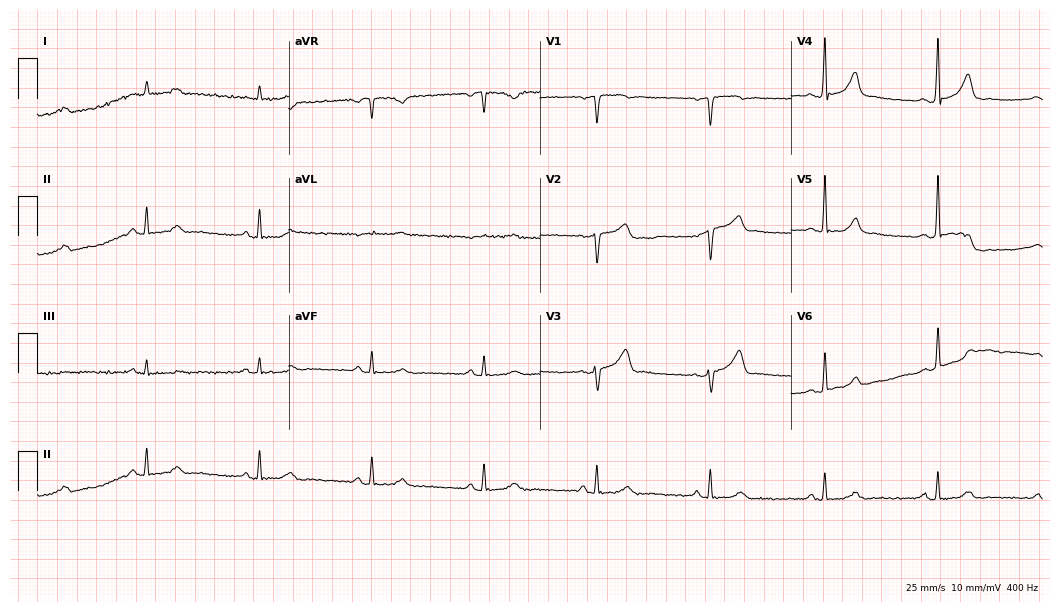
Resting 12-lead electrocardiogram. Patient: an 83-year-old male. None of these six findings is recorded: first-degree AV block, right bundle branch block, left bundle branch block, sinus bradycardia, atrial fibrillation, sinus tachycardia. Only these six findings were labelled.